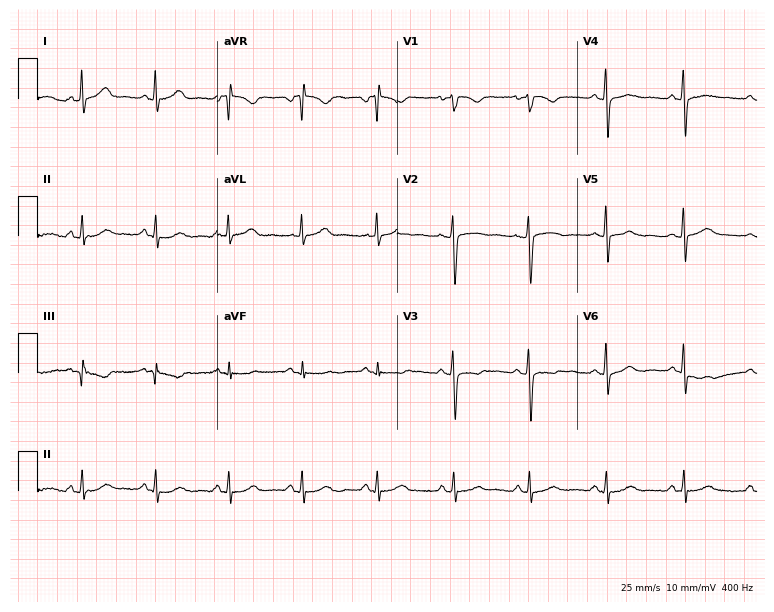
Electrocardiogram, a woman, 38 years old. Of the six screened findings (first-degree AV block, right bundle branch block, left bundle branch block, sinus bradycardia, atrial fibrillation, sinus tachycardia), none is recorded.